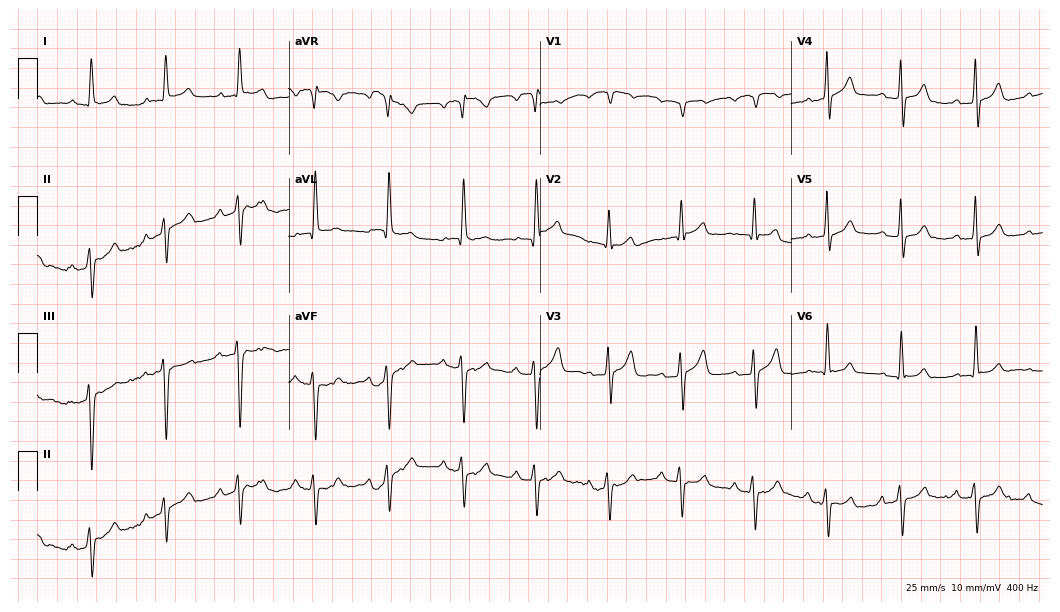
ECG — a woman, 86 years old. Screened for six findings — first-degree AV block, right bundle branch block (RBBB), left bundle branch block (LBBB), sinus bradycardia, atrial fibrillation (AF), sinus tachycardia — none is recorded.